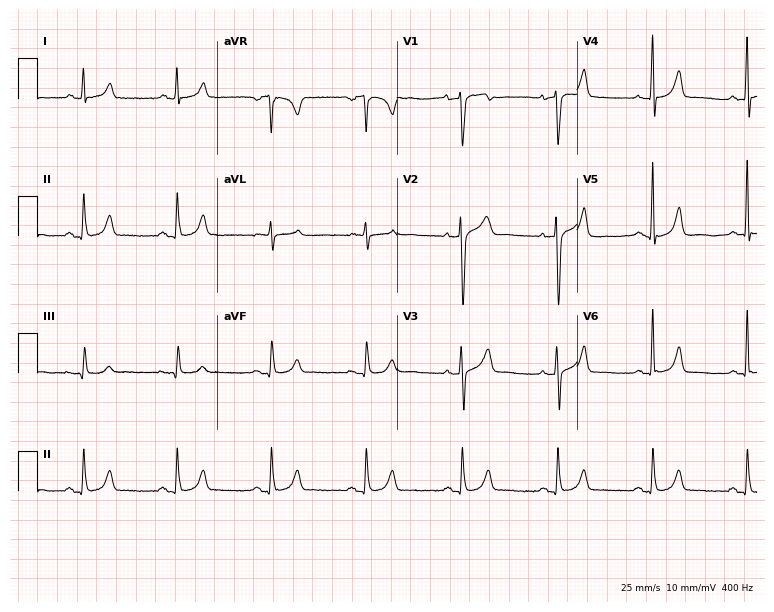
ECG — a 63-year-old male. Labelled as a normal ECG.